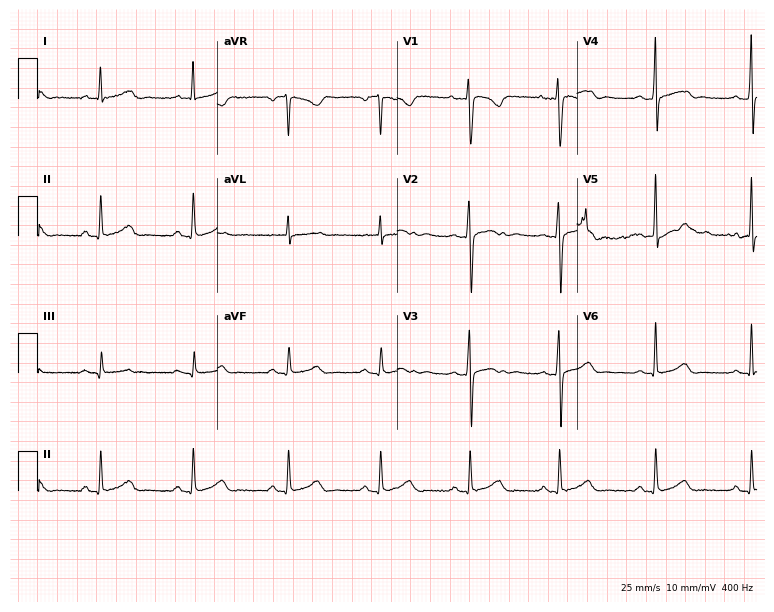
12-lead ECG from a female, 25 years old (7.3-second recording at 400 Hz). No first-degree AV block, right bundle branch block, left bundle branch block, sinus bradycardia, atrial fibrillation or sinus tachycardia recorded for this tracing.